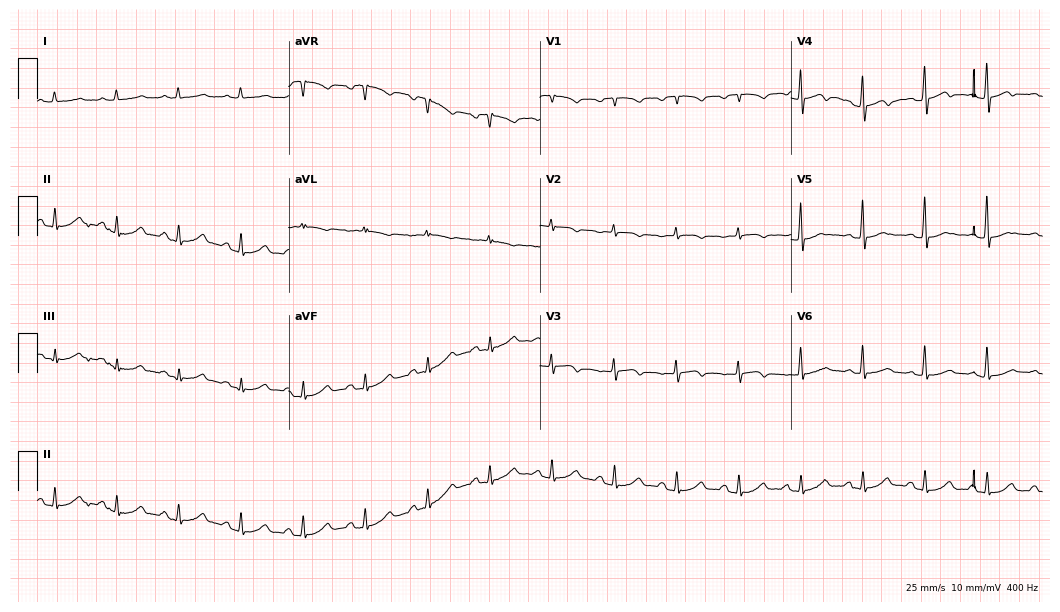
Standard 12-lead ECG recorded from a female patient, 71 years old. None of these six findings is recorded: first-degree AV block, right bundle branch block, left bundle branch block, sinus bradycardia, atrial fibrillation, sinus tachycardia. Findings outside these six are not listed.